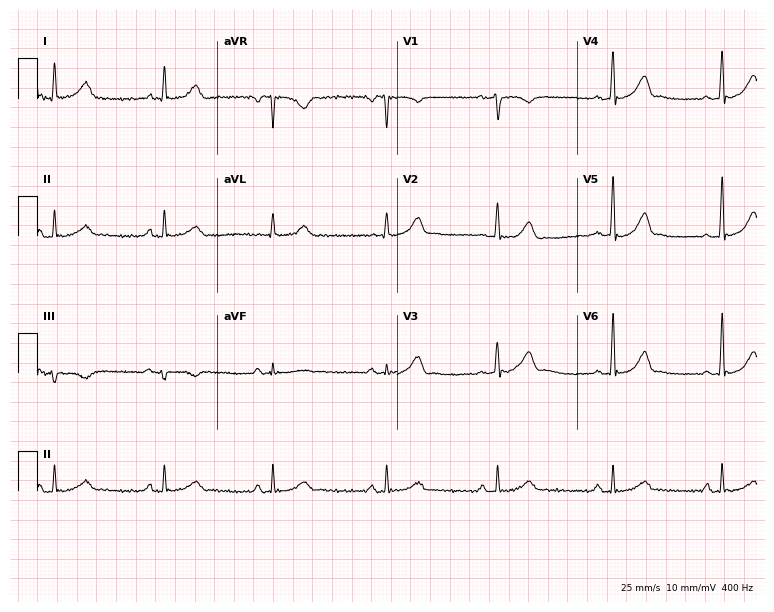
12-lead ECG from a male, 47 years old. No first-degree AV block, right bundle branch block, left bundle branch block, sinus bradycardia, atrial fibrillation or sinus tachycardia recorded for this tracing. Other findings, if any, are not listed.